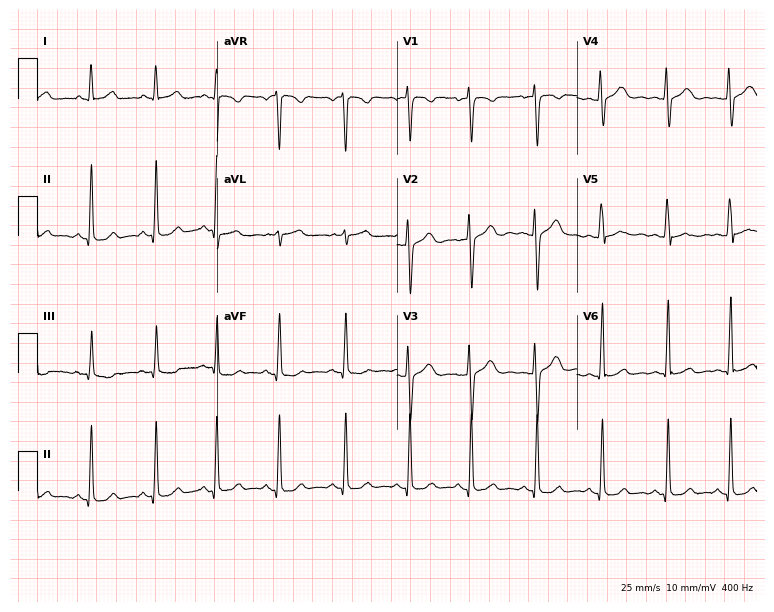
12-lead ECG from a female, 28 years old. Screened for six findings — first-degree AV block, right bundle branch block, left bundle branch block, sinus bradycardia, atrial fibrillation, sinus tachycardia — none is recorded.